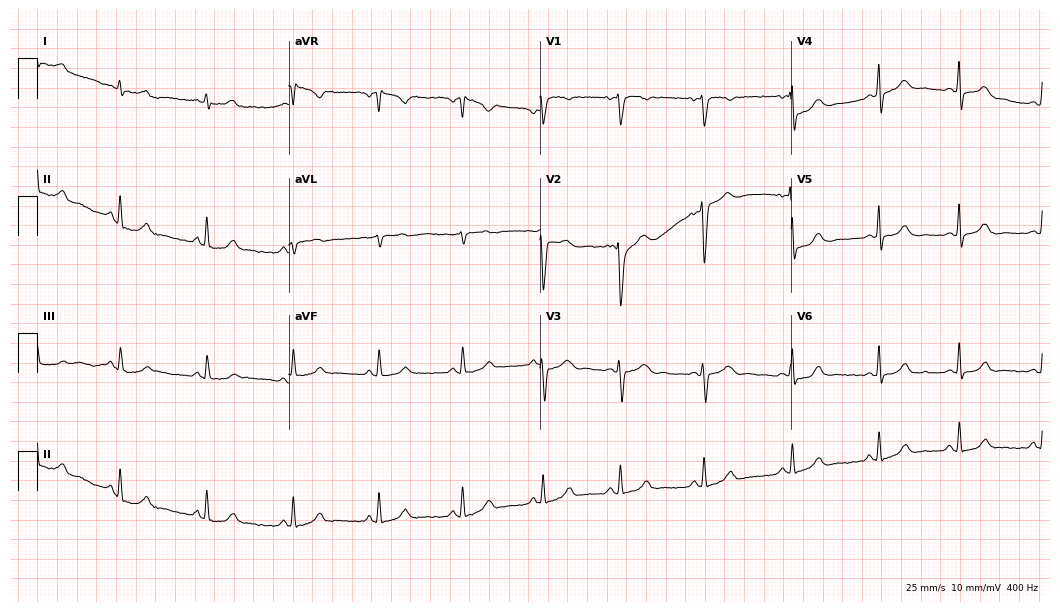
Standard 12-lead ECG recorded from a female patient, 28 years old. Read as a normal ECG.